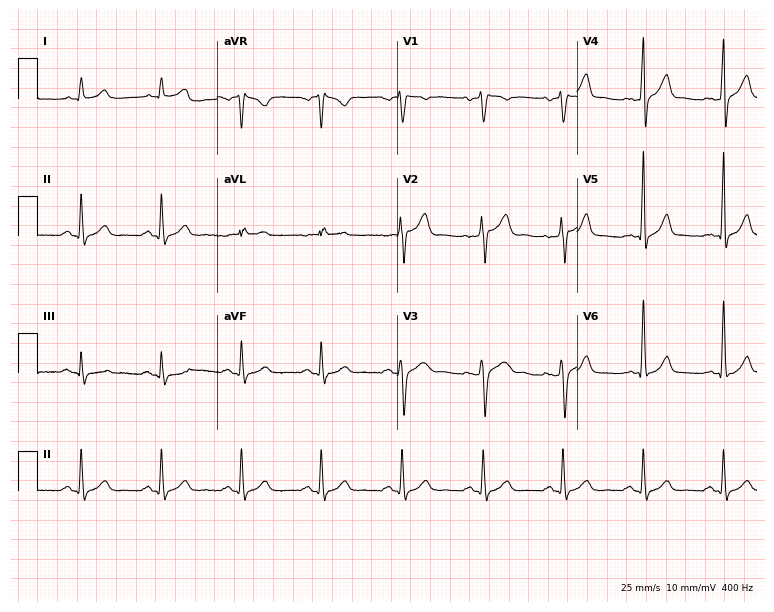
Standard 12-lead ECG recorded from a 45-year-old man (7.3-second recording at 400 Hz). None of these six findings is recorded: first-degree AV block, right bundle branch block, left bundle branch block, sinus bradycardia, atrial fibrillation, sinus tachycardia.